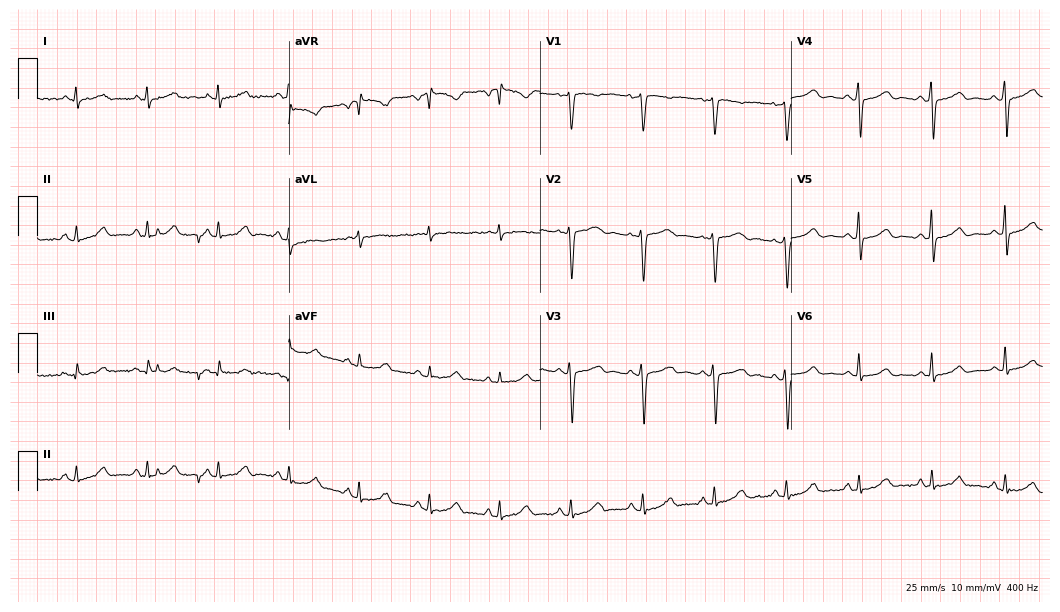
ECG (10.2-second recording at 400 Hz) — a 53-year-old female. Screened for six findings — first-degree AV block, right bundle branch block (RBBB), left bundle branch block (LBBB), sinus bradycardia, atrial fibrillation (AF), sinus tachycardia — none is recorded.